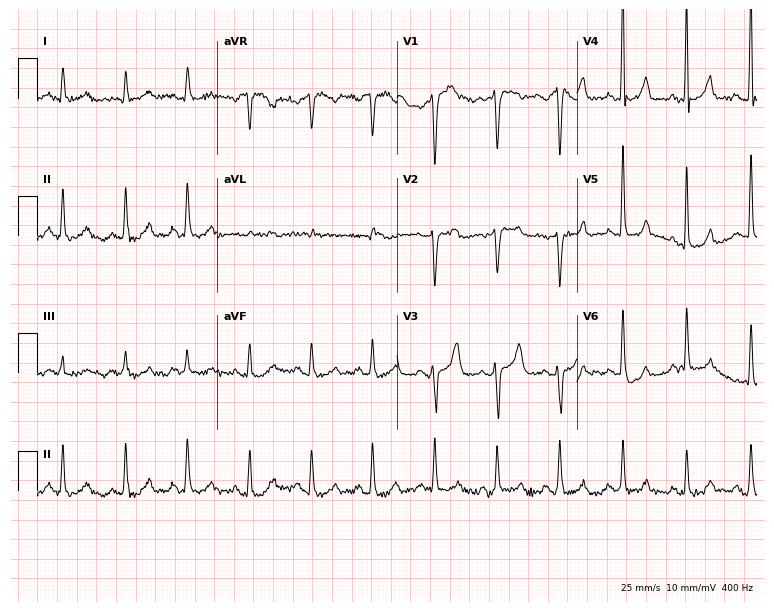
Electrocardiogram, a male, 43 years old. Overall reading on record: normal ECG.